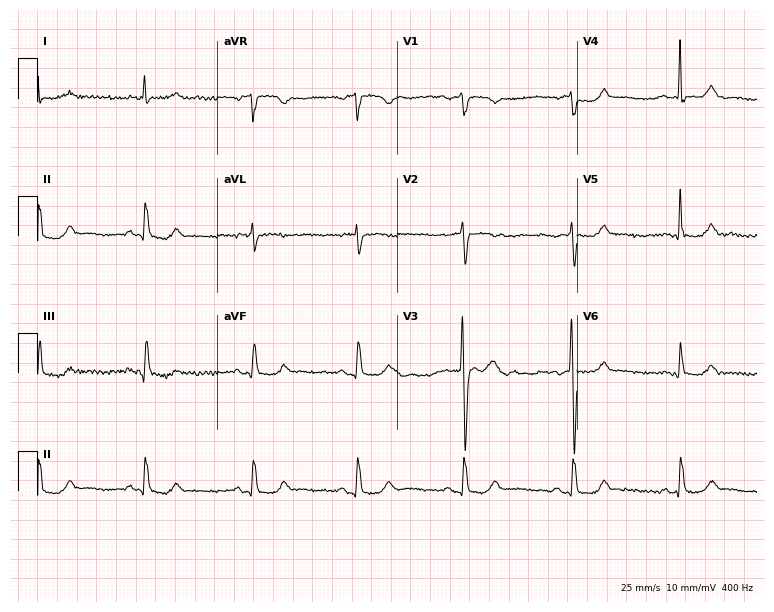
12-lead ECG (7.3-second recording at 400 Hz) from a female, 73 years old. Labelled as a normal ECG.